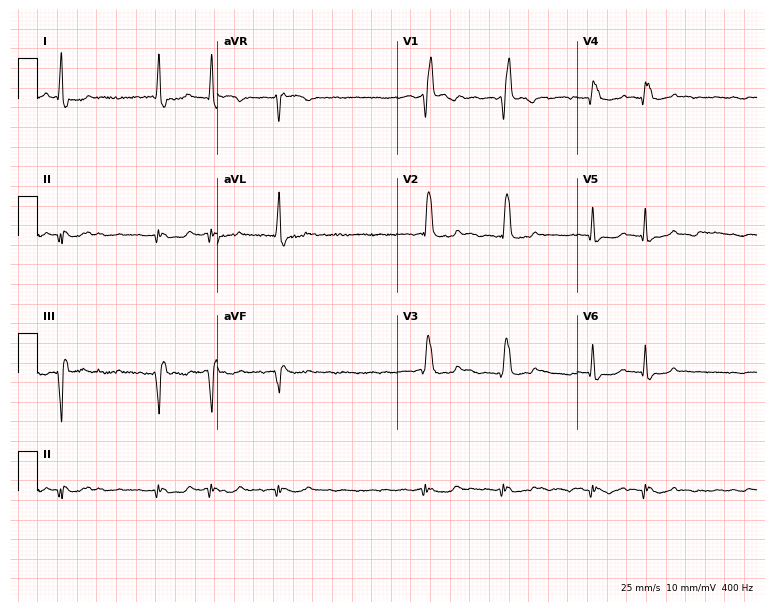
Standard 12-lead ECG recorded from a 72-year-old man. The tracing shows right bundle branch block, atrial fibrillation.